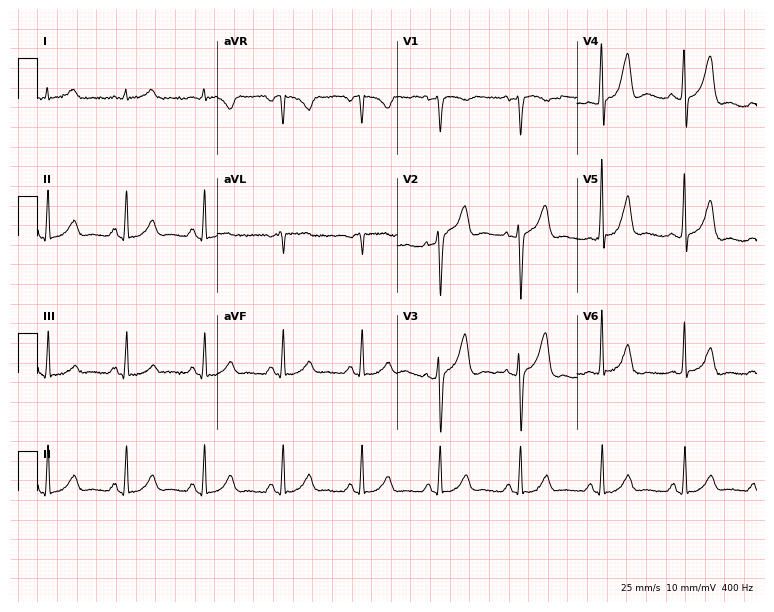
12-lead ECG (7.3-second recording at 400 Hz) from a 55-year-old male patient. Labelled as a normal ECG.